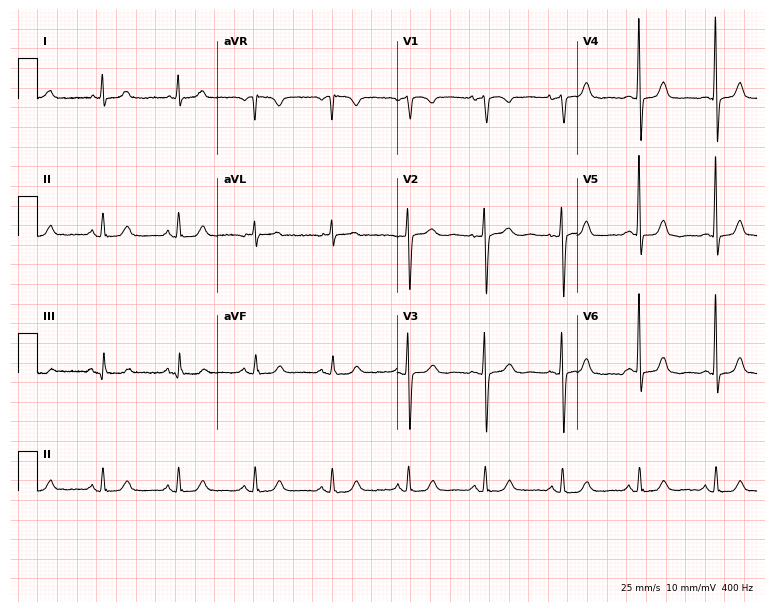
ECG (7.3-second recording at 400 Hz) — a 72-year-old female. Labelled as a normal ECG.